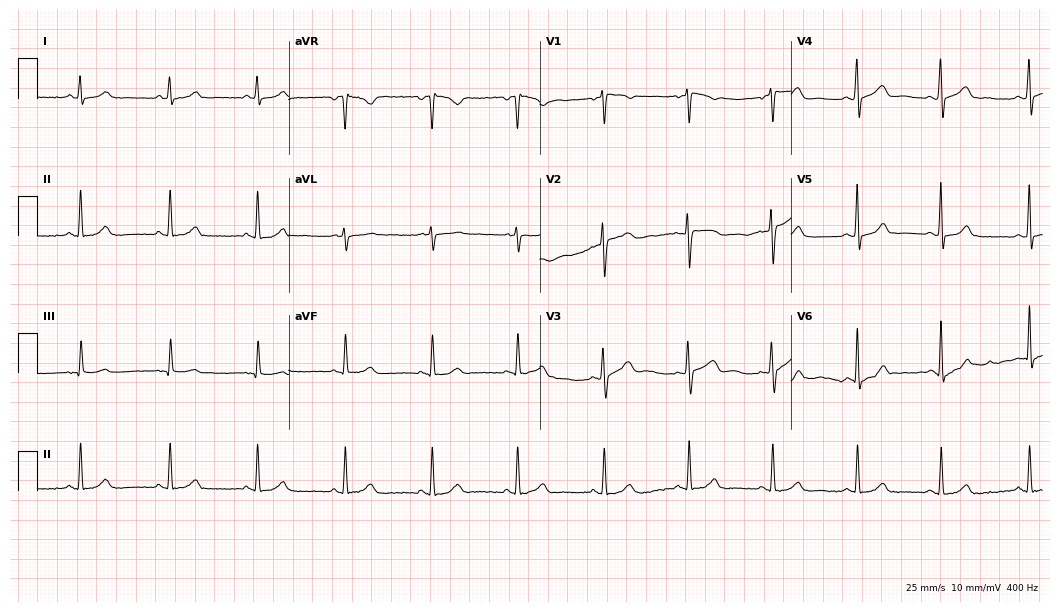
Electrocardiogram, a 27-year-old woman. Overall reading on record: normal ECG.